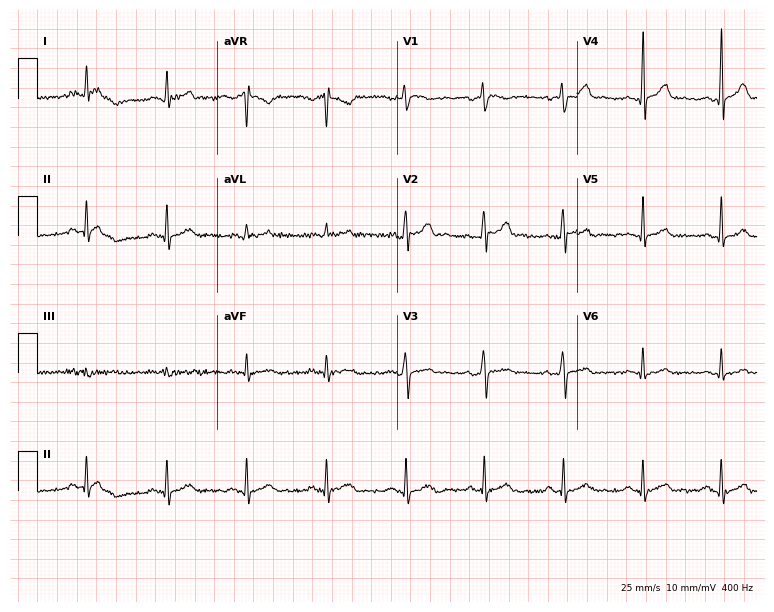
ECG (7.3-second recording at 400 Hz) — a 28-year-old male. Labelled as a normal ECG.